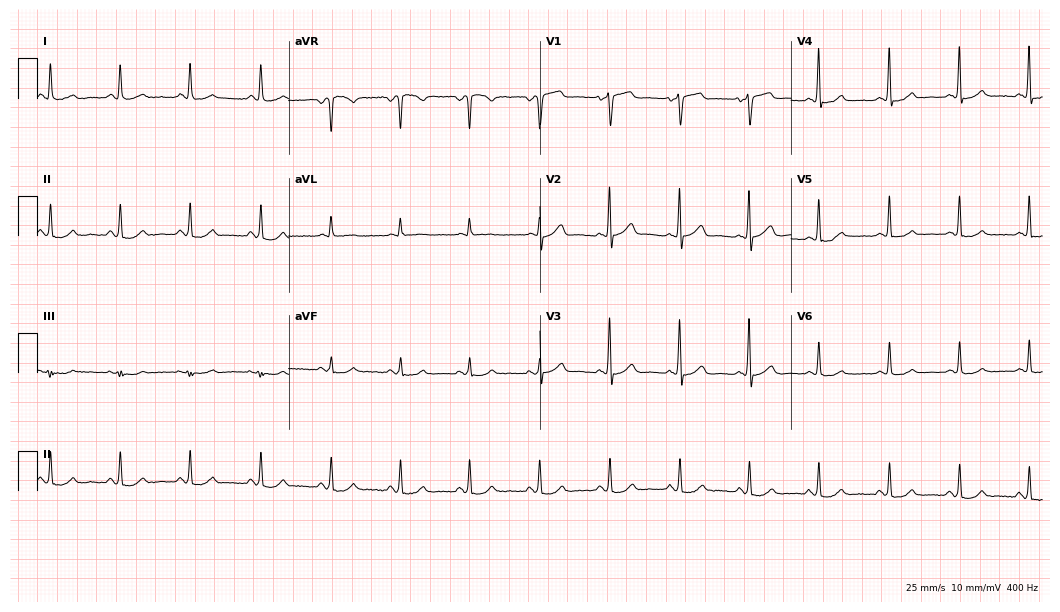
Resting 12-lead electrocardiogram. Patient: a male, 66 years old. None of these six findings is recorded: first-degree AV block, right bundle branch block, left bundle branch block, sinus bradycardia, atrial fibrillation, sinus tachycardia.